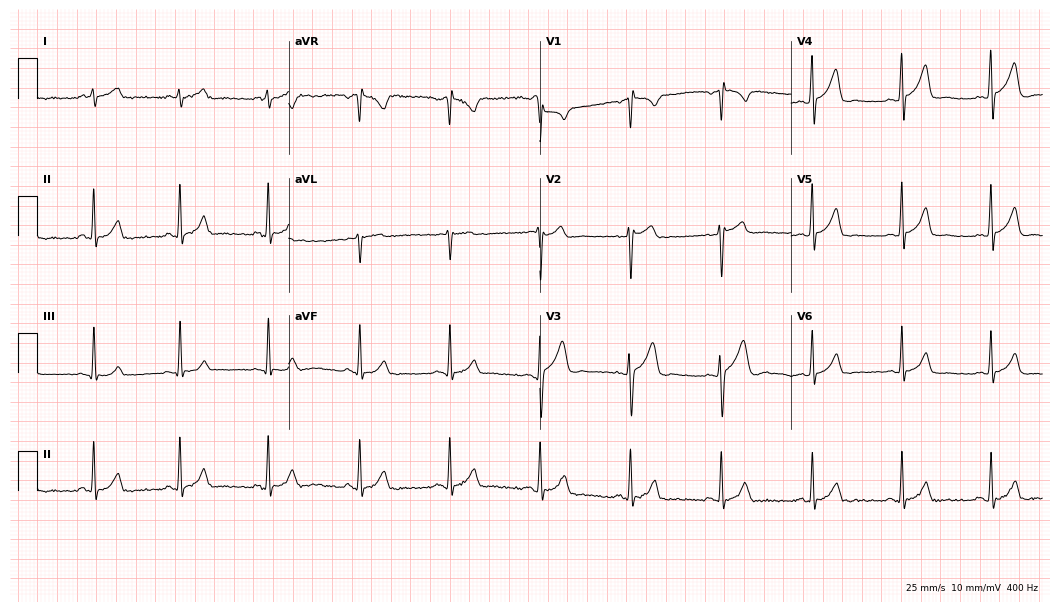
12-lead ECG (10.2-second recording at 400 Hz) from a man, 31 years old. Screened for six findings — first-degree AV block, right bundle branch block, left bundle branch block, sinus bradycardia, atrial fibrillation, sinus tachycardia — none is recorded. Findings outside these six are not listed.